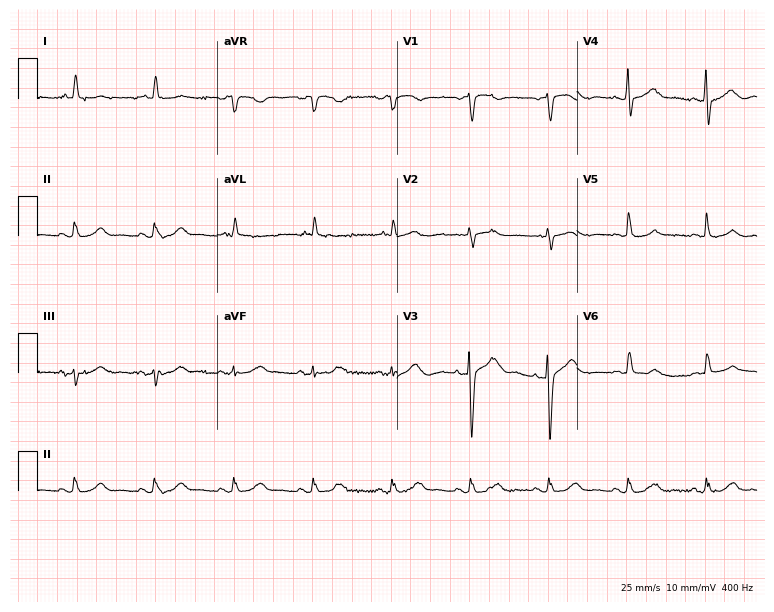
12-lead ECG from an 84-year-old female patient. Recorded interpretation: within normal limits.